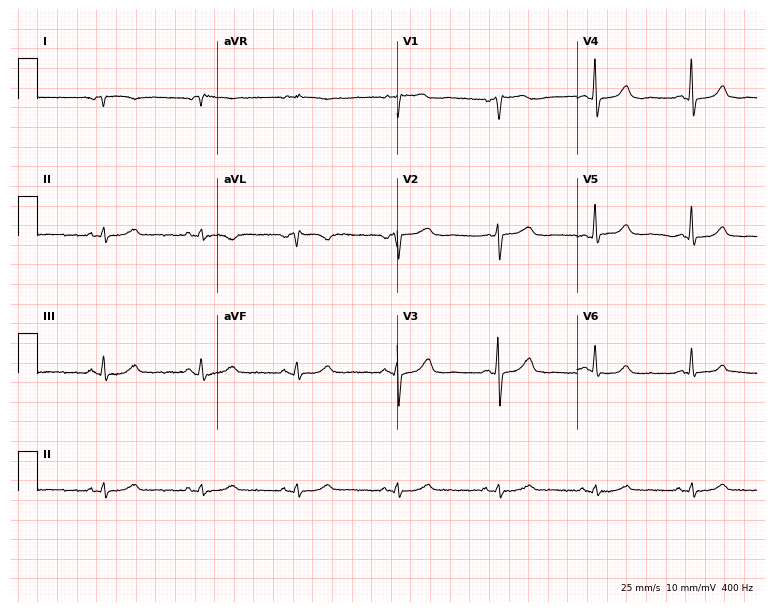
ECG — a female patient, 55 years old. Screened for six findings — first-degree AV block, right bundle branch block, left bundle branch block, sinus bradycardia, atrial fibrillation, sinus tachycardia — none is recorded. Findings outside these six are not listed.